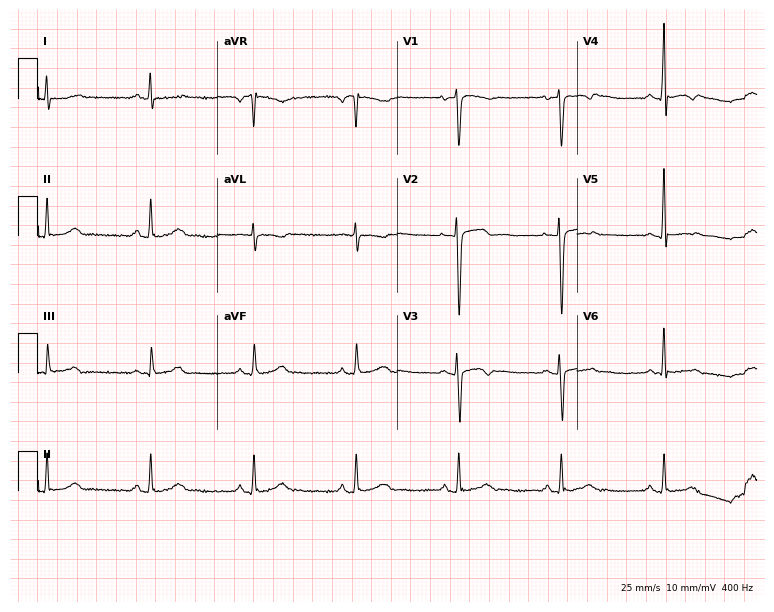
Electrocardiogram (7.3-second recording at 400 Hz), a 47-year-old man. Of the six screened findings (first-degree AV block, right bundle branch block (RBBB), left bundle branch block (LBBB), sinus bradycardia, atrial fibrillation (AF), sinus tachycardia), none is recorded.